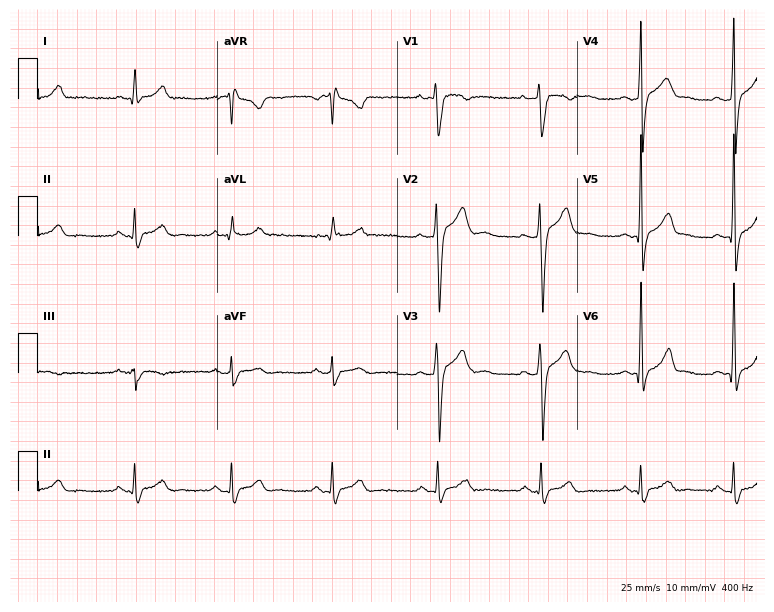
Resting 12-lead electrocardiogram. Patient: a 34-year-old male. None of these six findings is recorded: first-degree AV block, right bundle branch block, left bundle branch block, sinus bradycardia, atrial fibrillation, sinus tachycardia.